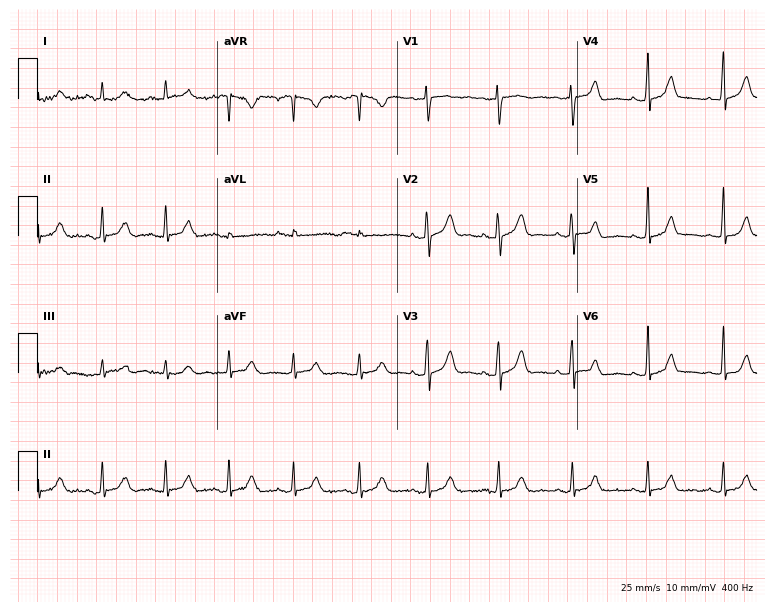
Electrocardiogram (7.3-second recording at 400 Hz), a female, 37 years old. Of the six screened findings (first-degree AV block, right bundle branch block, left bundle branch block, sinus bradycardia, atrial fibrillation, sinus tachycardia), none is recorded. Other findings, if any, are not listed.